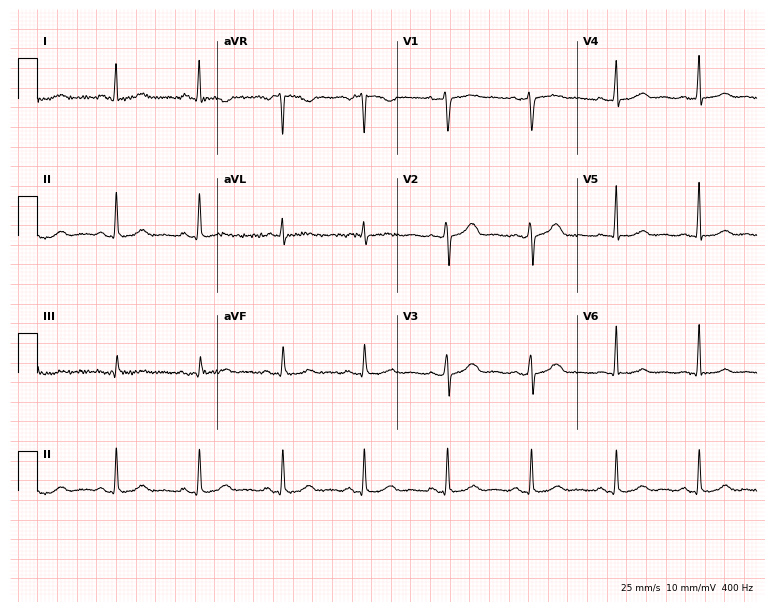
ECG — a female patient, 46 years old. Screened for six findings — first-degree AV block, right bundle branch block, left bundle branch block, sinus bradycardia, atrial fibrillation, sinus tachycardia — none is recorded.